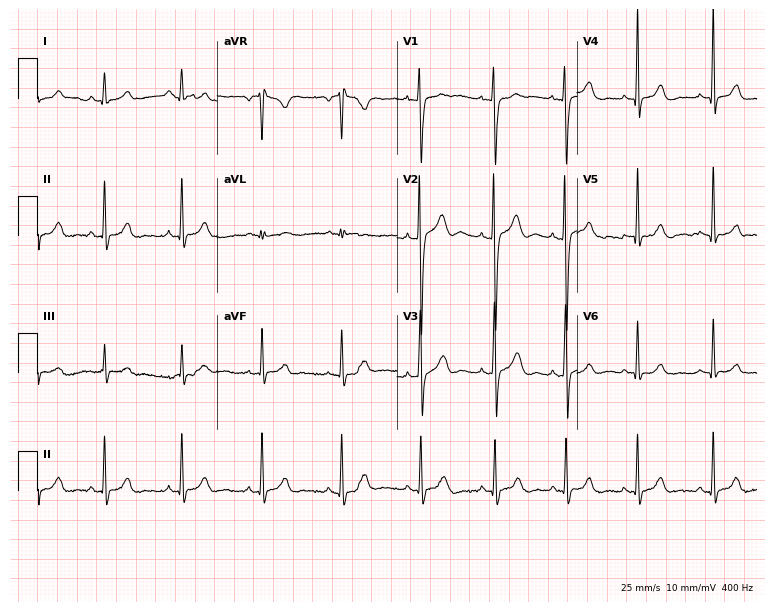
12-lead ECG from a man, 25 years old. Recorded interpretation: within normal limits.